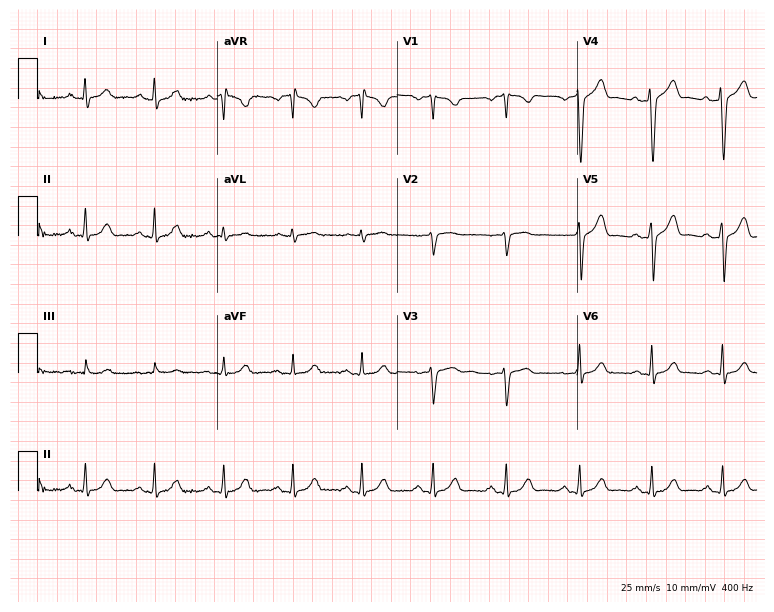
Electrocardiogram, a 58-year-old male patient. Overall reading on record: normal ECG.